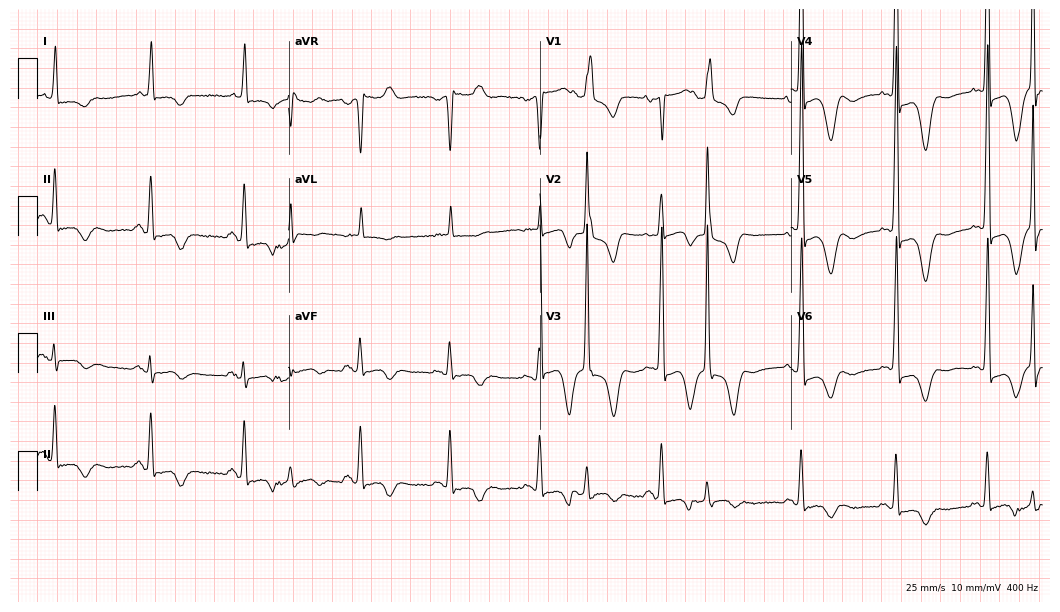
12-lead ECG from a woman, 78 years old. No first-degree AV block, right bundle branch block, left bundle branch block, sinus bradycardia, atrial fibrillation or sinus tachycardia recorded for this tracing. Other findings, if any, are not listed.